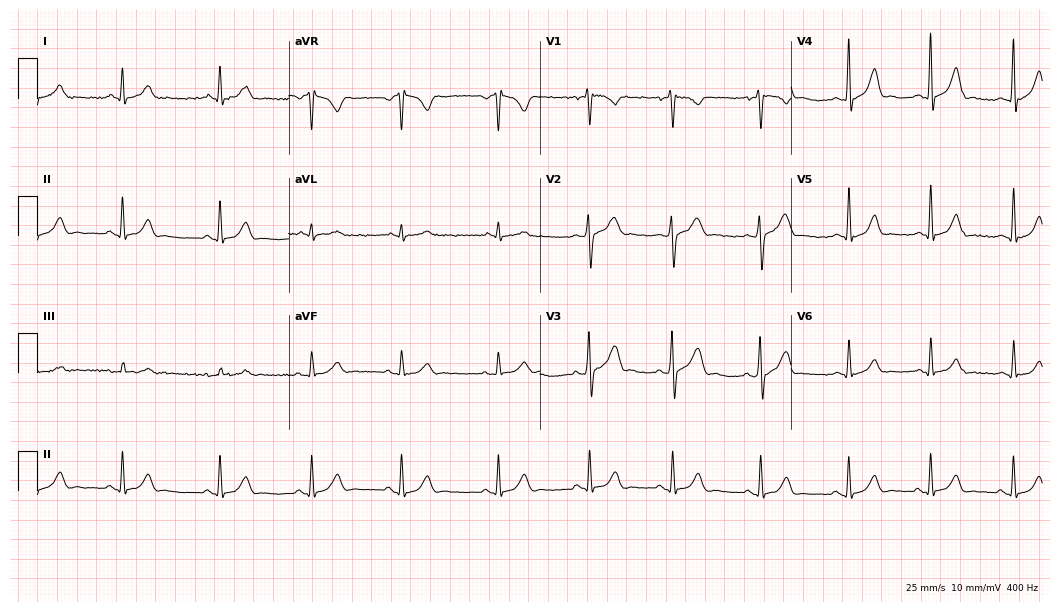
Resting 12-lead electrocardiogram (10.2-second recording at 400 Hz). Patient: a male, 17 years old. Read as a normal ECG.